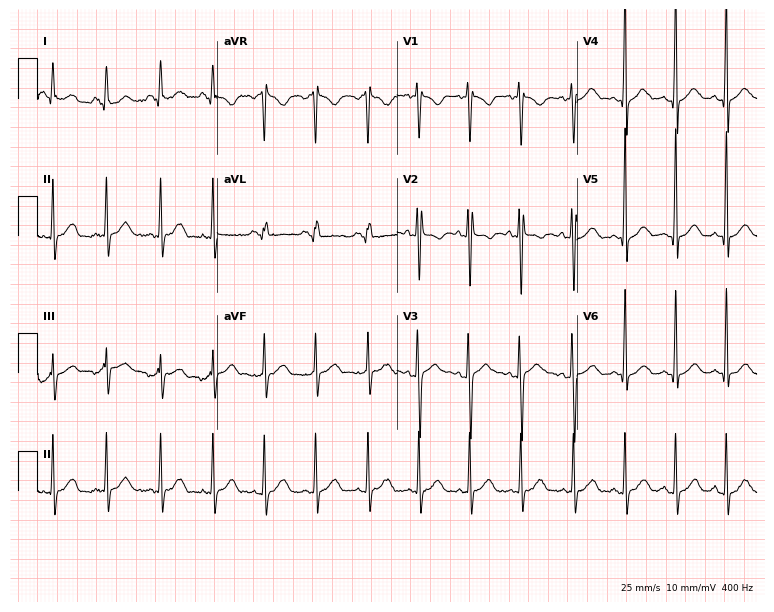
Electrocardiogram, a 25-year-old woman. Interpretation includes sinus tachycardia (a sinus rate of 100 beats per minute or more).